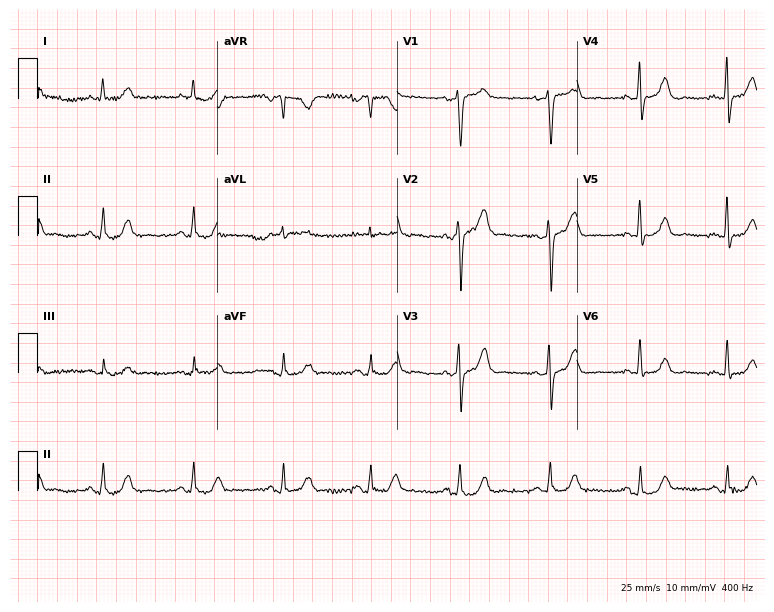
Standard 12-lead ECG recorded from a 74-year-old woman (7.3-second recording at 400 Hz). Read as a normal ECG.